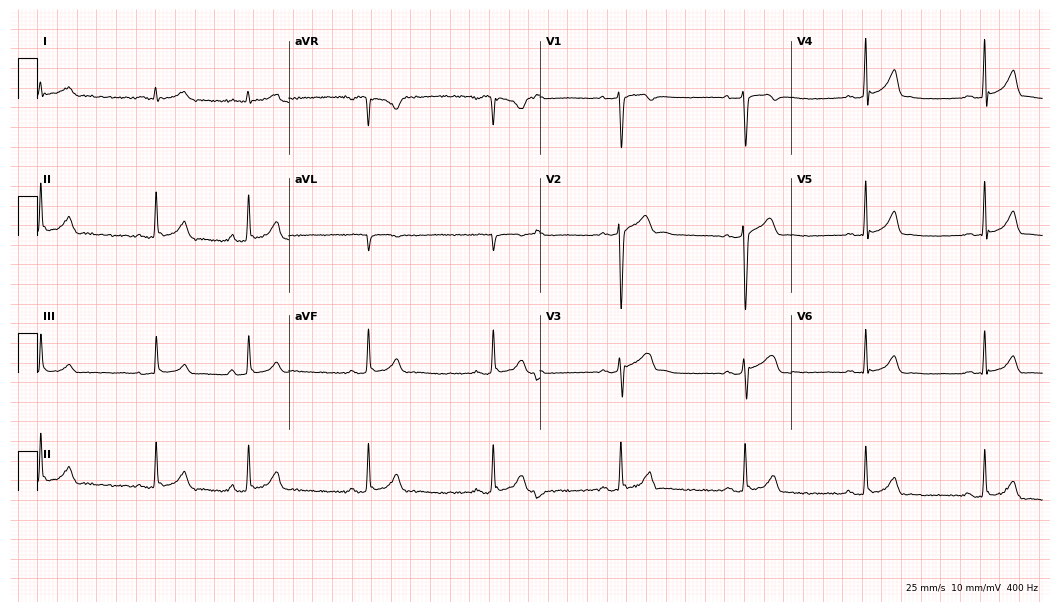
ECG (10.2-second recording at 400 Hz) — a male, 18 years old. Labelled as a normal ECG.